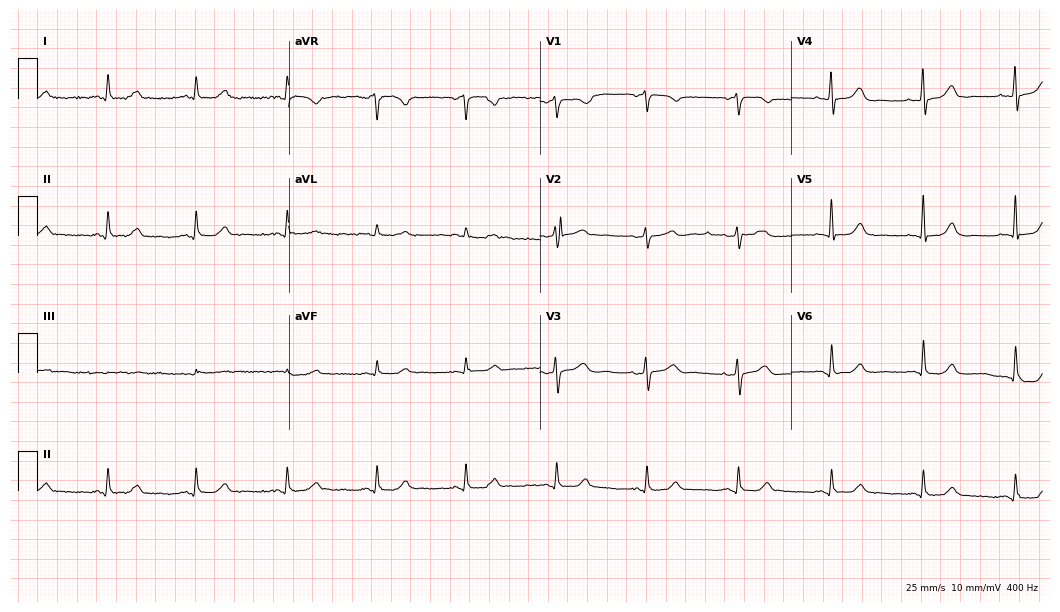
Standard 12-lead ECG recorded from a 76-year-old female patient. Read as a normal ECG.